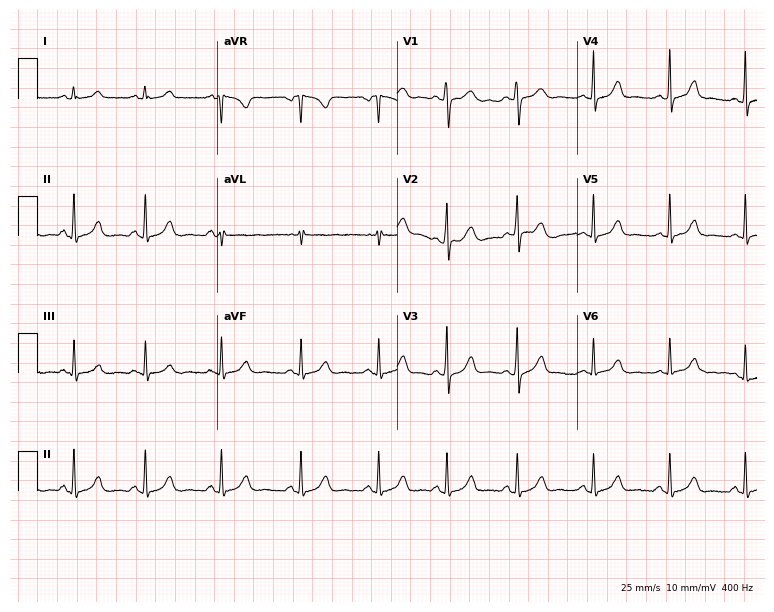
Standard 12-lead ECG recorded from a 19-year-old woman. Read as a normal ECG.